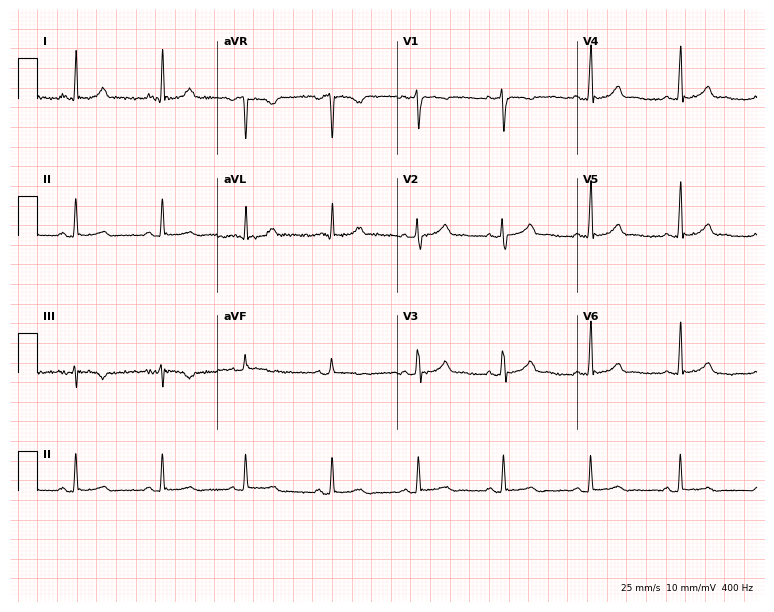
Standard 12-lead ECG recorded from a female, 28 years old (7.3-second recording at 400 Hz). Read as a normal ECG.